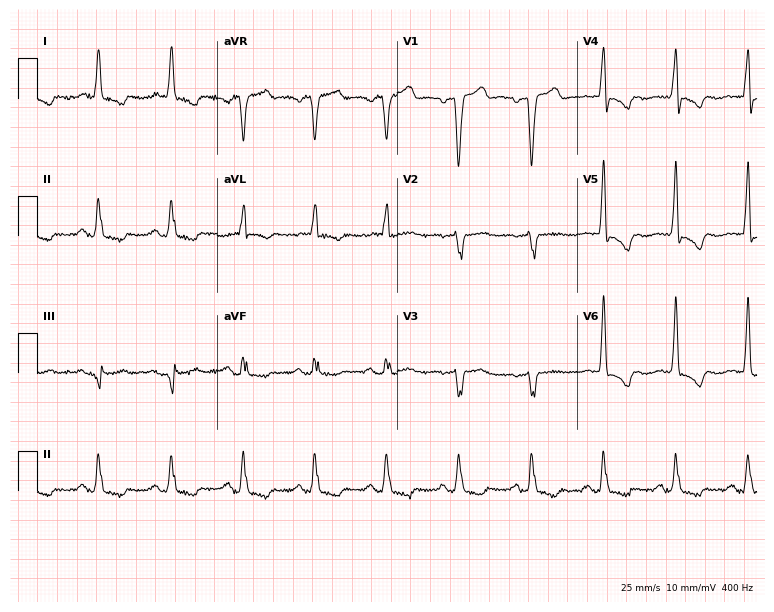
12-lead ECG from a 65-year-old female. Screened for six findings — first-degree AV block, right bundle branch block, left bundle branch block, sinus bradycardia, atrial fibrillation, sinus tachycardia — none is recorded. Other findings, if any, are not listed.